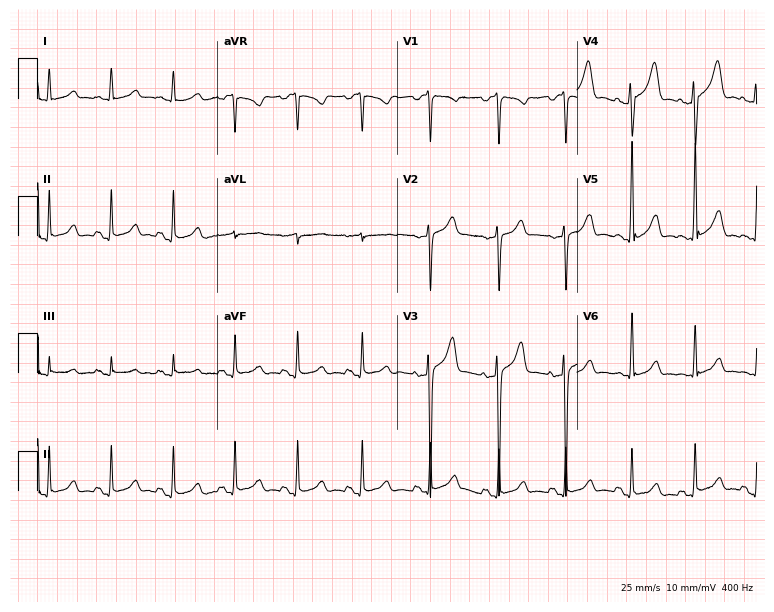
Standard 12-lead ECG recorded from a man, 37 years old (7.3-second recording at 400 Hz). Read as a normal ECG.